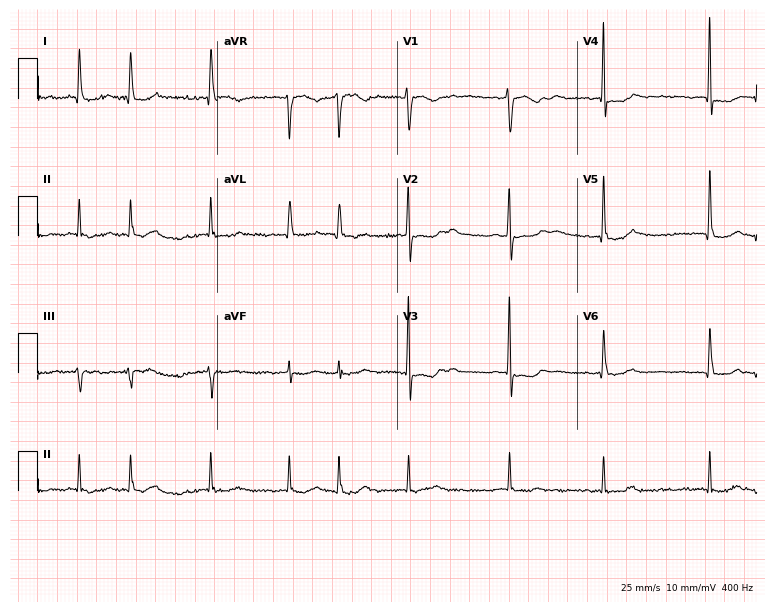
ECG (7.3-second recording at 400 Hz) — a 66-year-old woman. Findings include atrial fibrillation (AF).